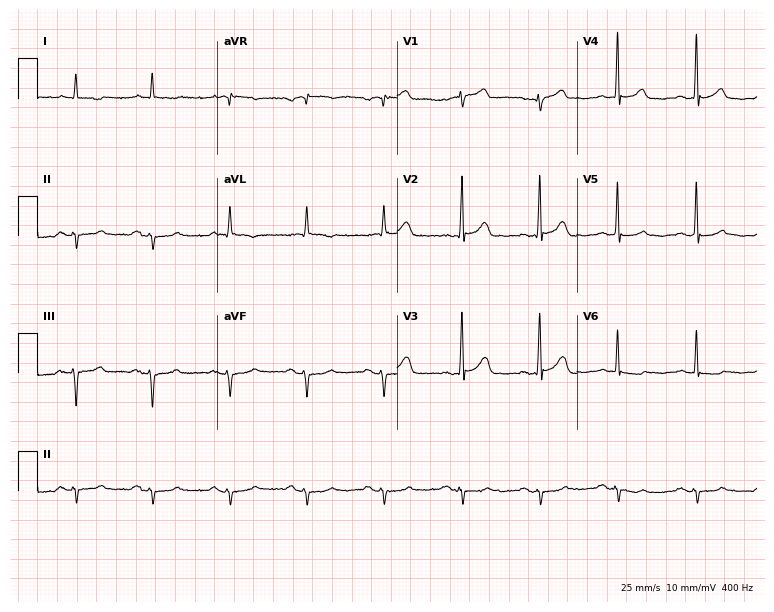
Standard 12-lead ECG recorded from a man, 66 years old (7.3-second recording at 400 Hz). Read as a normal ECG.